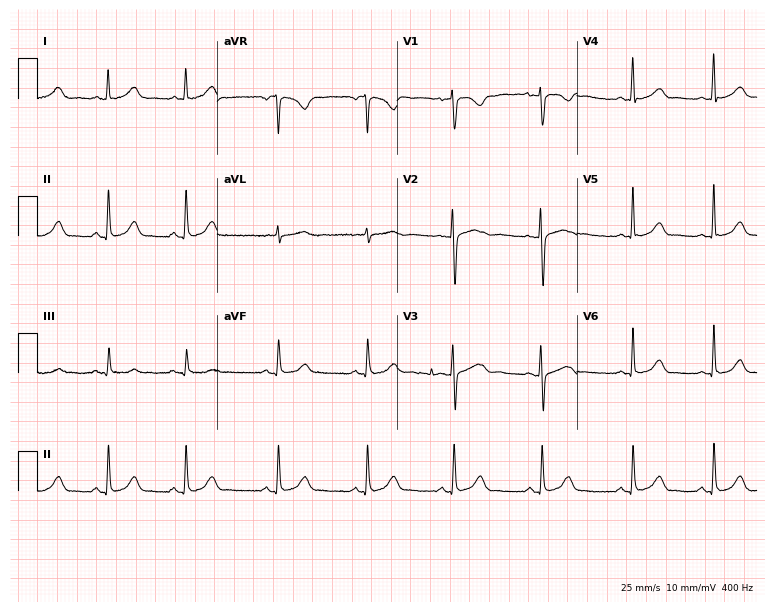
Resting 12-lead electrocardiogram. Patient: a 26-year-old woman. Read as a normal ECG.